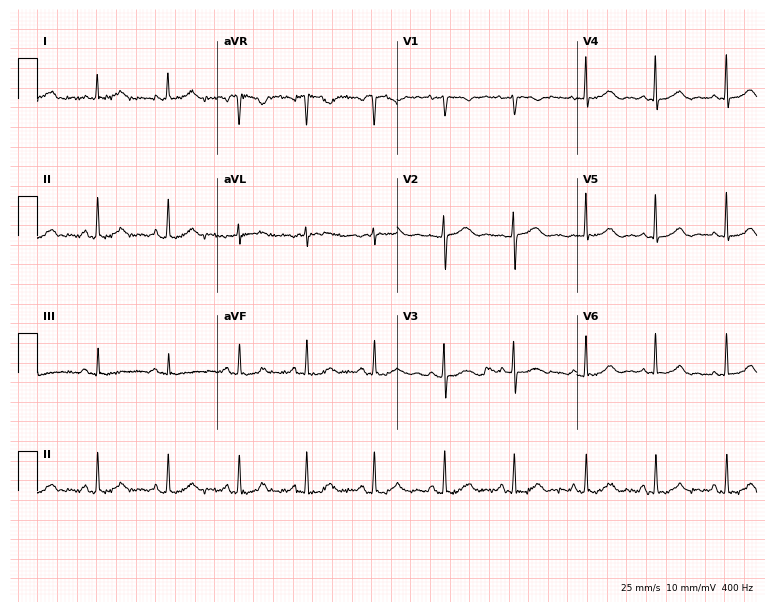
Resting 12-lead electrocardiogram (7.3-second recording at 400 Hz). Patient: a 47-year-old female. None of these six findings is recorded: first-degree AV block, right bundle branch block, left bundle branch block, sinus bradycardia, atrial fibrillation, sinus tachycardia. Findings outside these six are not listed.